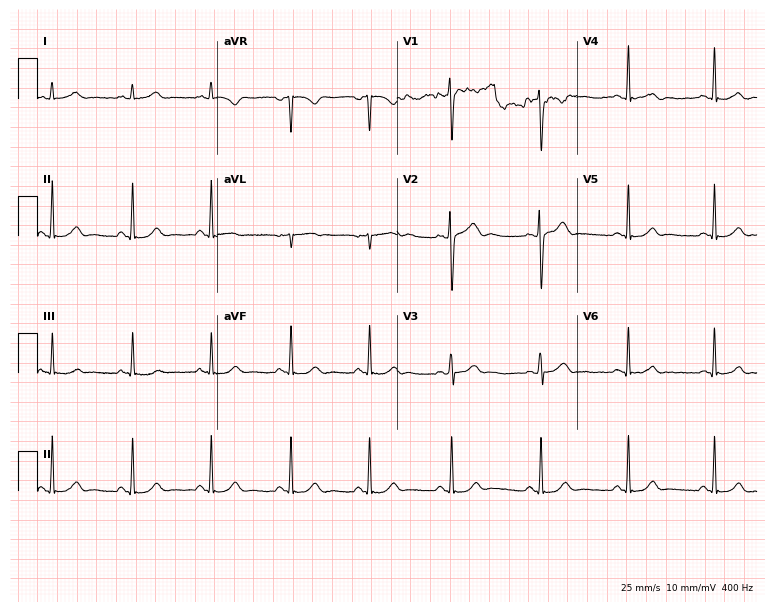
Resting 12-lead electrocardiogram (7.3-second recording at 400 Hz). Patient: a female, 22 years old. None of these six findings is recorded: first-degree AV block, right bundle branch block (RBBB), left bundle branch block (LBBB), sinus bradycardia, atrial fibrillation (AF), sinus tachycardia. Only these six findings were labelled.